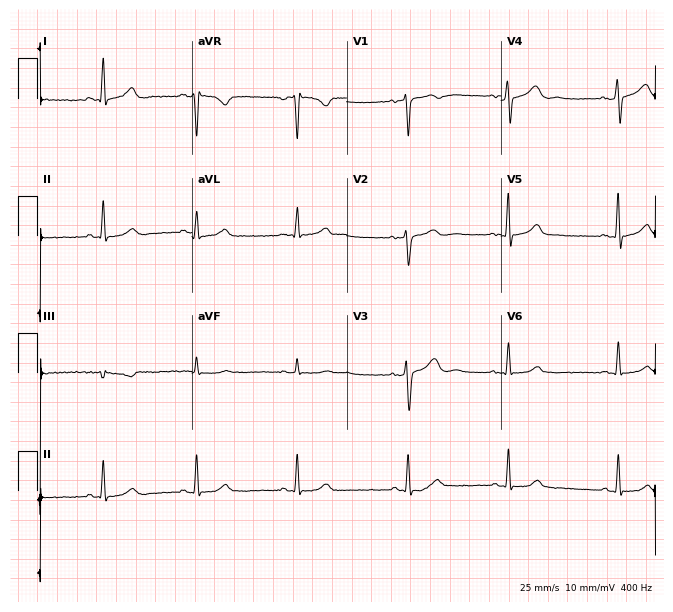
ECG — an 18-year-old woman. Screened for six findings — first-degree AV block, right bundle branch block, left bundle branch block, sinus bradycardia, atrial fibrillation, sinus tachycardia — none is recorded. Other findings, if any, are not listed.